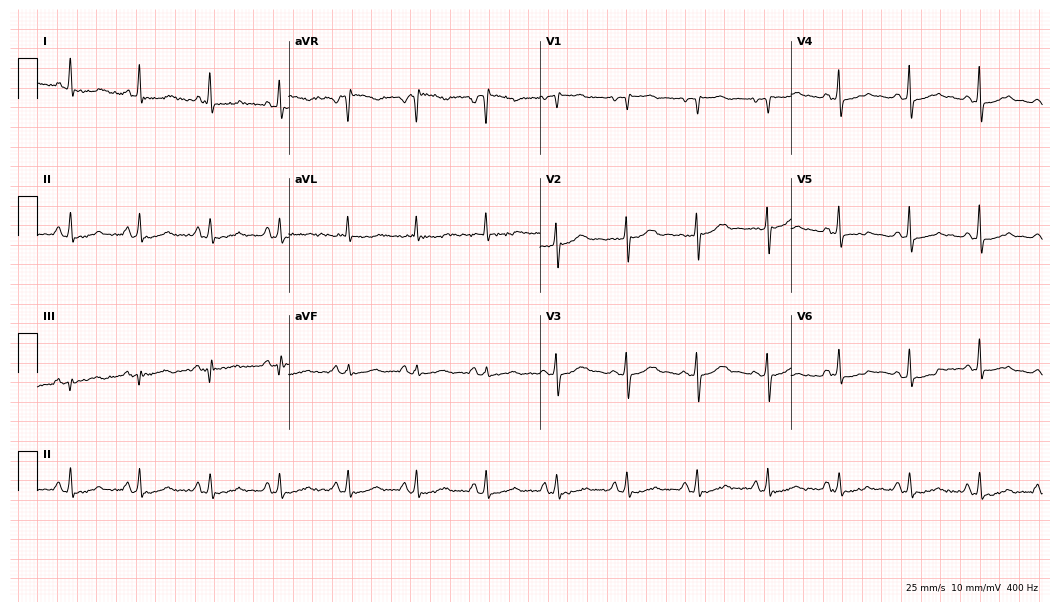
12-lead ECG from a 57-year-old female patient (10.2-second recording at 400 Hz). No first-degree AV block, right bundle branch block (RBBB), left bundle branch block (LBBB), sinus bradycardia, atrial fibrillation (AF) or sinus tachycardia recorded for this tracing.